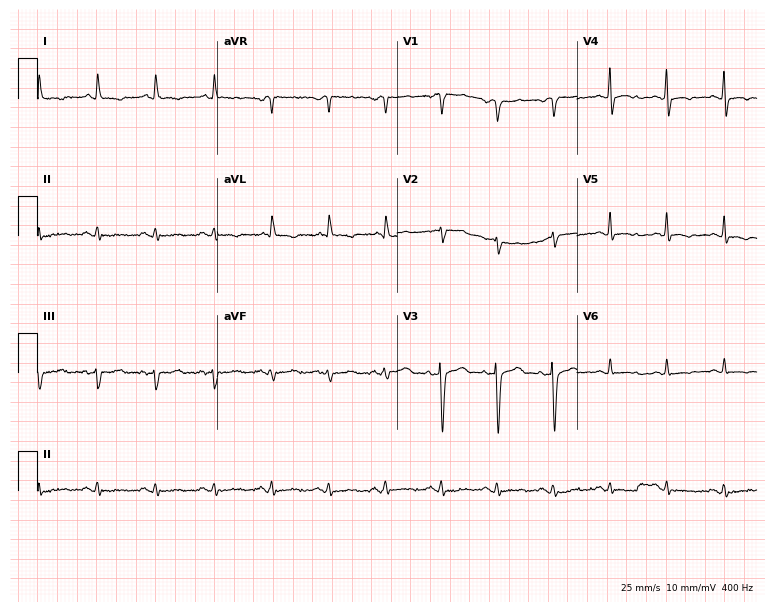
ECG (7.3-second recording at 400 Hz) — a 57-year-old woman. Screened for six findings — first-degree AV block, right bundle branch block, left bundle branch block, sinus bradycardia, atrial fibrillation, sinus tachycardia — none is recorded. Findings outside these six are not listed.